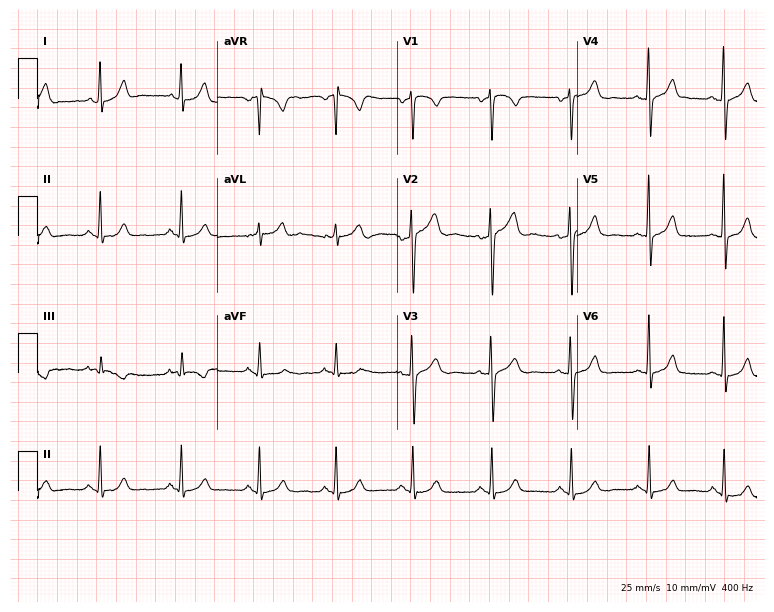
ECG (7.3-second recording at 400 Hz) — a 46-year-old man. Labelled as a normal ECG.